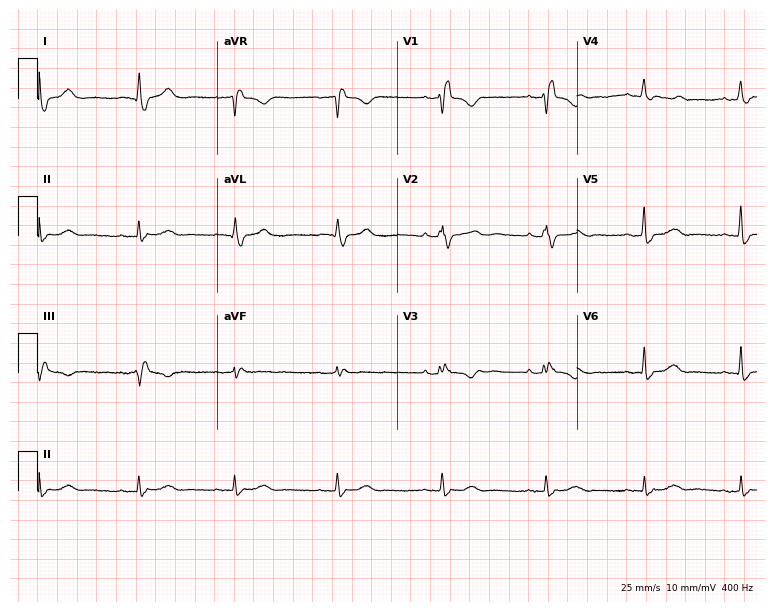
12-lead ECG from a 54-year-old woman. Findings include right bundle branch block (RBBB).